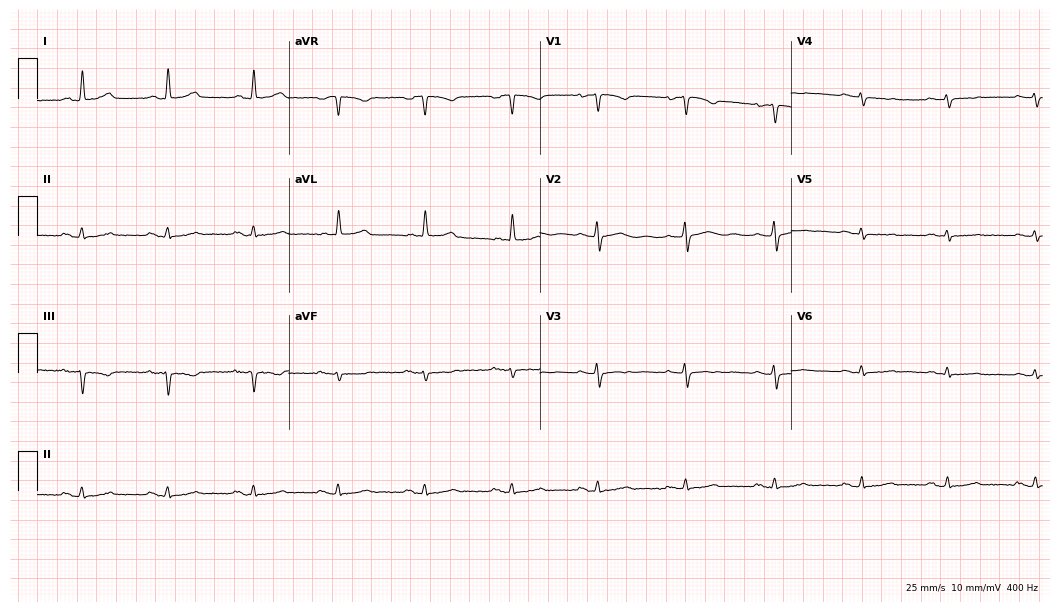
12-lead ECG (10.2-second recording at 400 Hz) from an 81-year-old woman. Screened for six findings — first-degree AV block, right bundle branch block, left bundle branch block, sinus bradycardia, atrial fibrillation, sinus tachycardia — none is recorded.